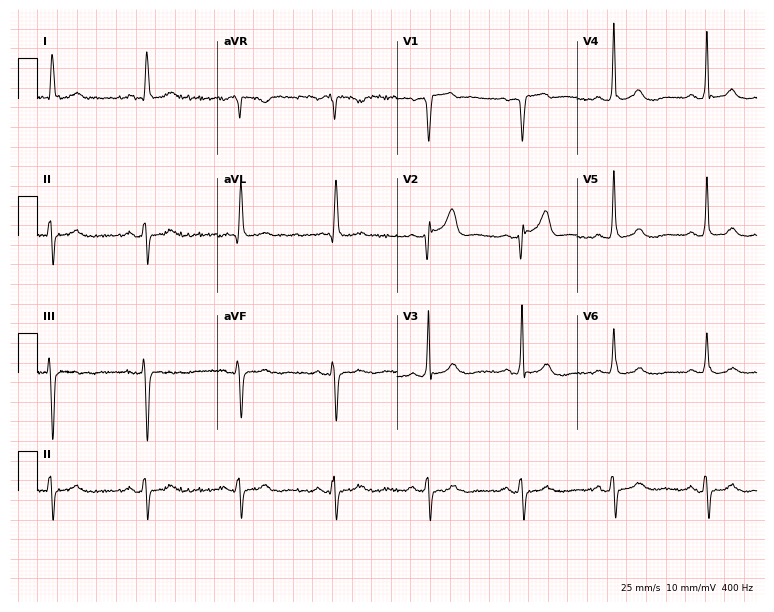
12-lead ECG (7.3-second recording at 400 Hz) from a 76-year-old male patient. Screened for six findings — first-degree AV block, right bundle branch block (RBBB), left bundle branch block (LBBB), sinus bradycardia, atrial fibrillation (AF), sinus tachycardia — none is recorded.